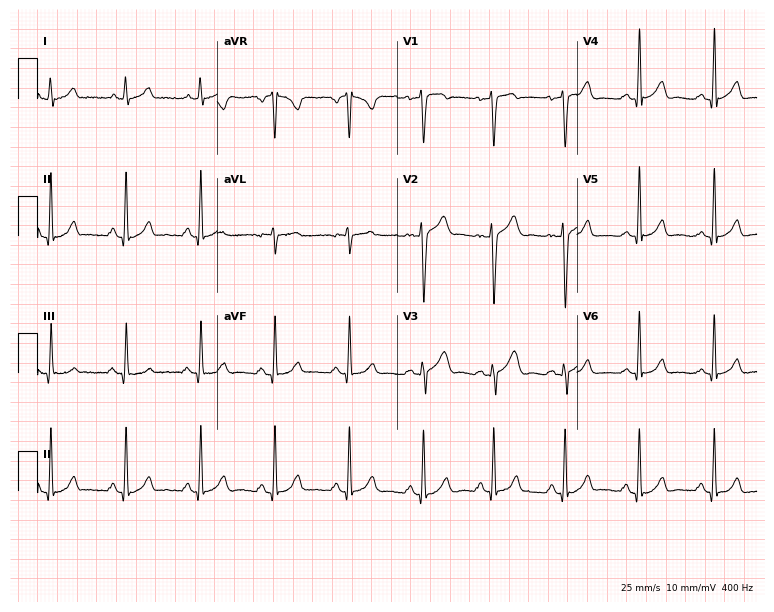
Standard 12-lead ECG recorded from a 37-year-old man. Read as a normal ECG.